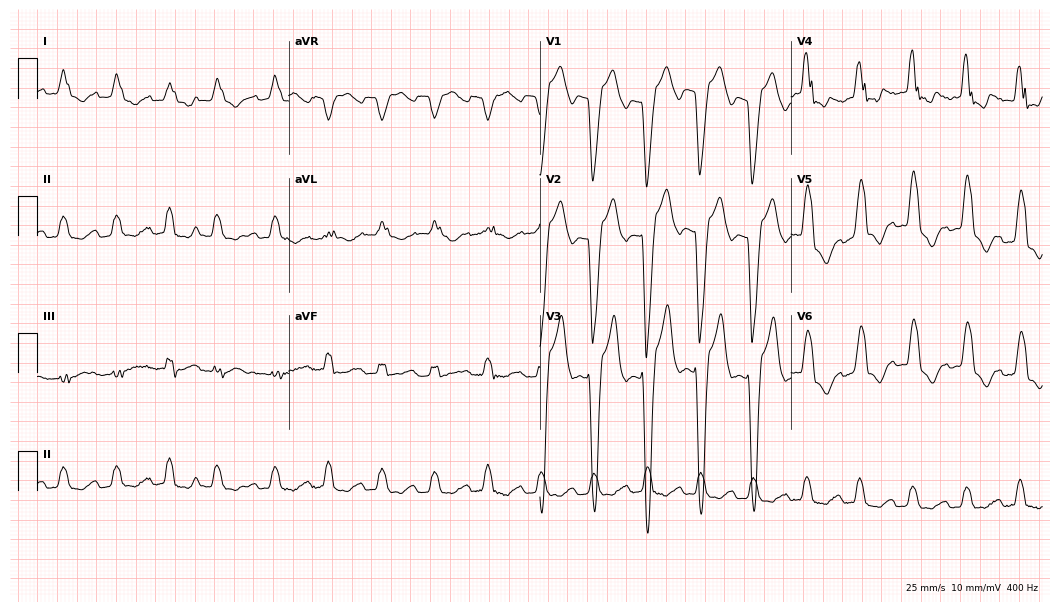
ECG — a man, 65 years old. Findings include left bundle branch block, sinus tachycardia (a sinus rate of 100 beats per minute or more).